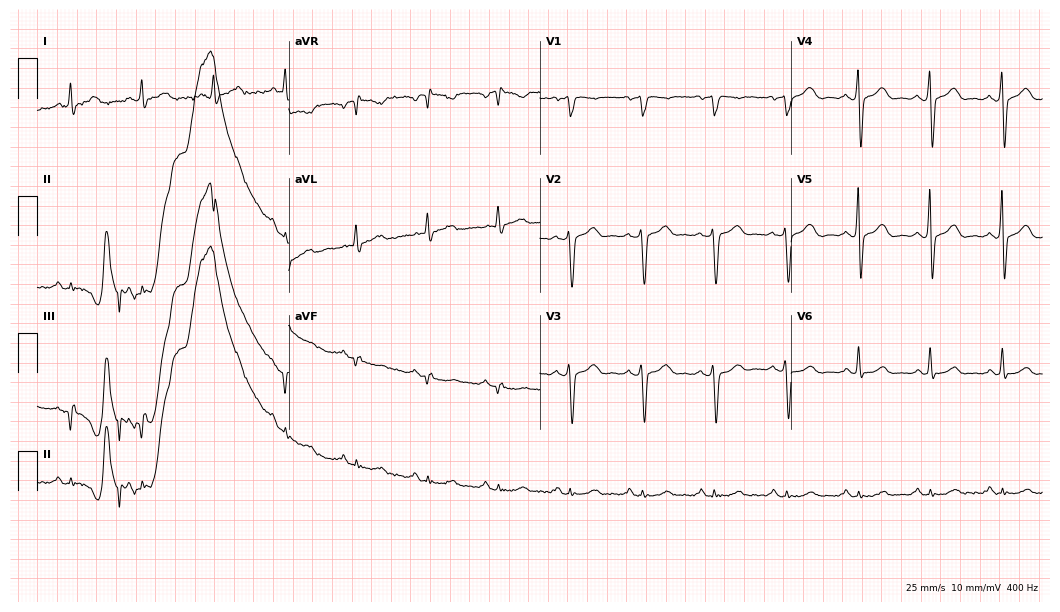
Standard 12-lead ECG recorded from a male patient, 58 years old (10.2-second recording at 400 Hz). Read as a normal ECG.